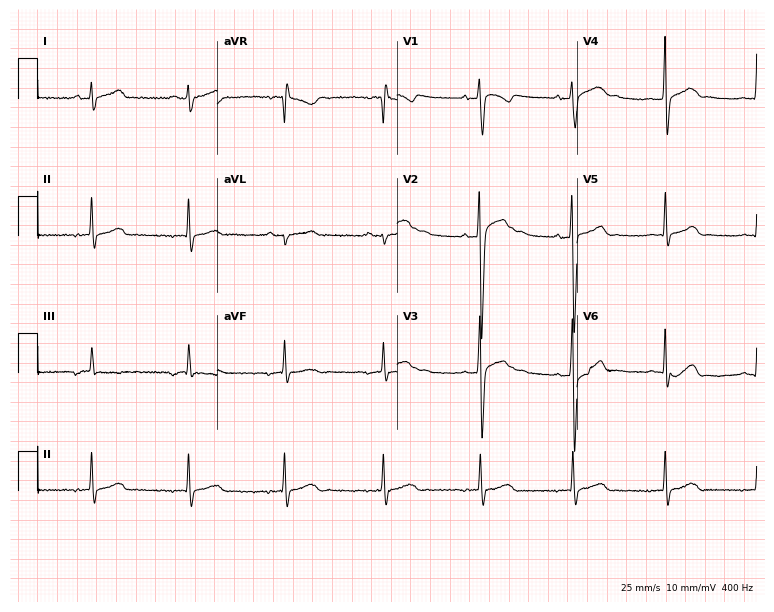
Resting 12-lead electrocardiogram (7.3-second recording at 400 Hz). Patient: a male, 45 years old. Read as a normal ECG.